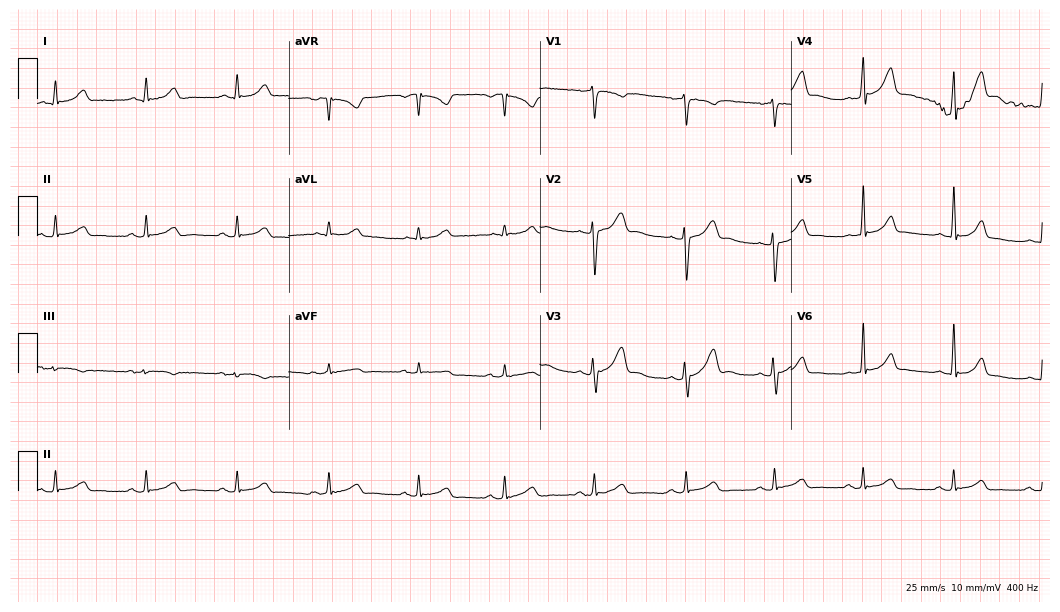
Resting 12-lead electrocardiogram. Patient: a 34-year-old male. Read as a normal ECG.